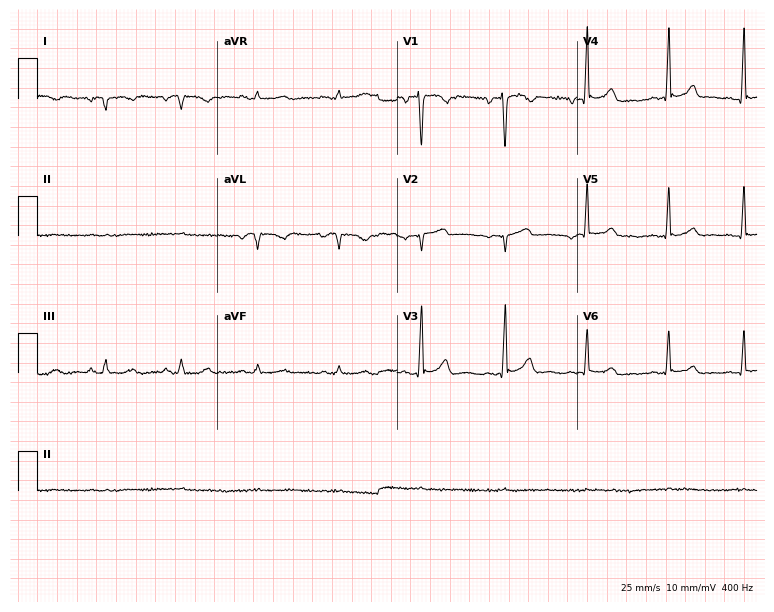
Resting 12-lead electrocardiogram. Patient: a female, 48 years old. None of these six findings is recorded: first-degree AV block, right bundle branch block, left bundle branch block, sinus bradycardia, atrial fibrillation, sinus tachycardia. Findings outside these six are not listed.